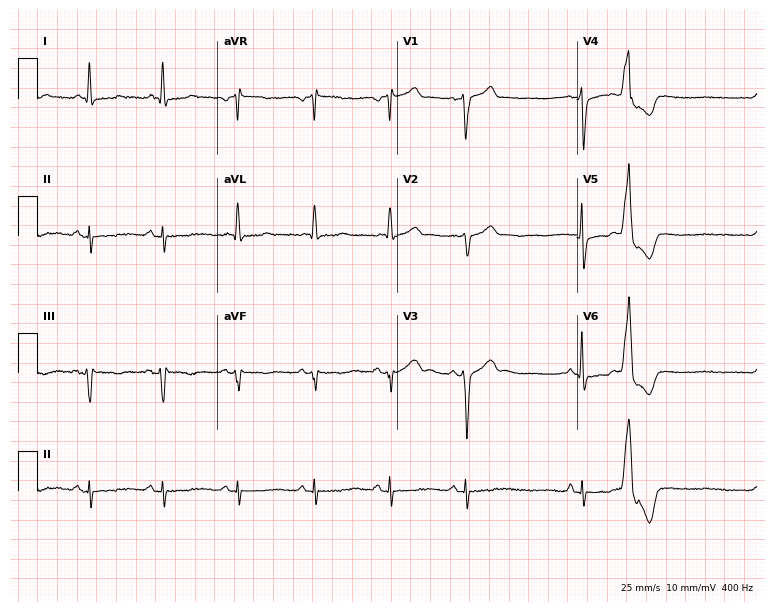
Resting 12-lead electrocardiogram. Patient: a 78-year-old male. None of these six findings is recorded: first-degree AV block, right bundle branch block, left bundle branch block, sinus bradycardia, atrial fibrillation, sinus tachycardia. Only these six findings were labelled.